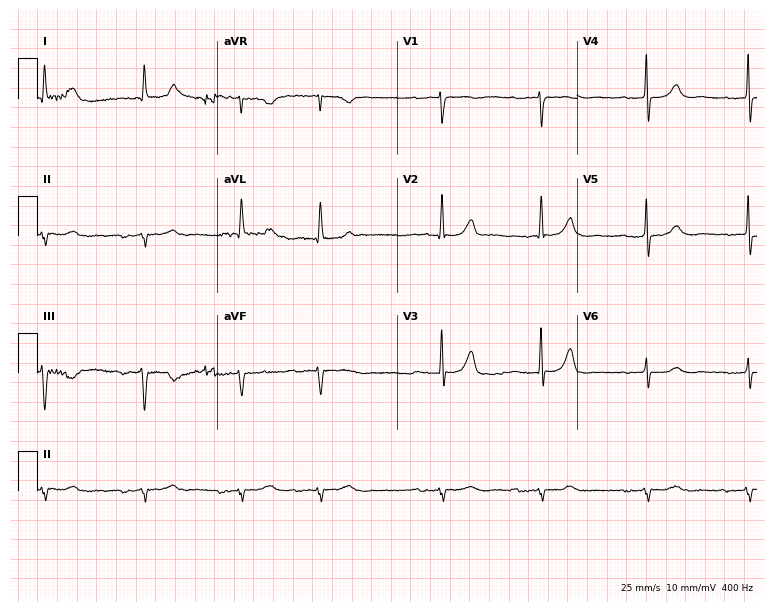
Electrocardiogram (7.3-second recording at 400 Hz), a 76-year-old male. Interpretation includes first-degree AV block, atrial fibrillation.